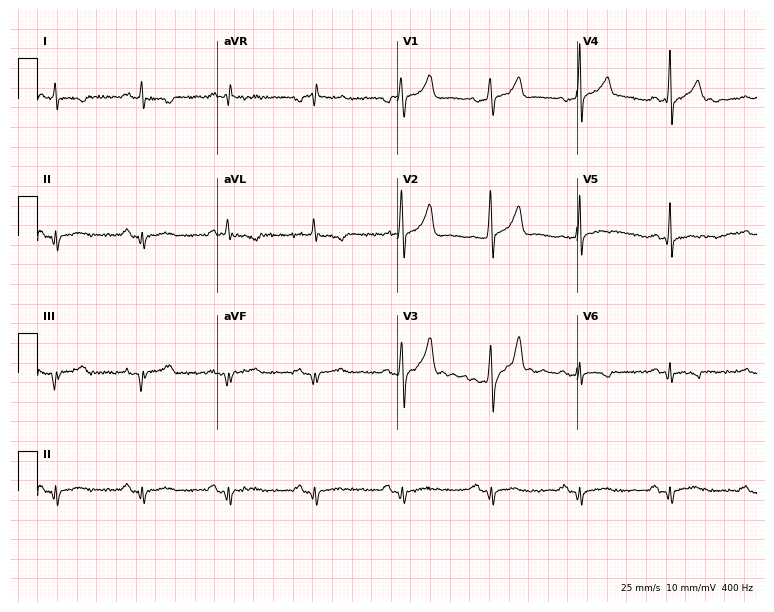
Standard 12-lead ECG recorded from a 53-year-old male patient (7.3-second recording at 400 Hz). None of these six findings is recorded: first-degree AV block, right bundle branch block, left bundle branch block, sinus bradycardia, atrial fibrillation, sinus tachycardia. Only these six findings were labelled.